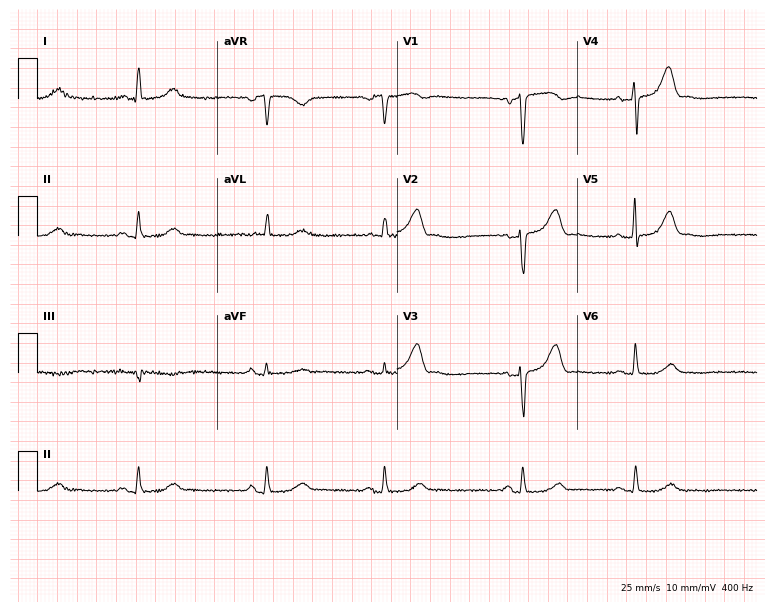
ECG (7.3-second recording at 400 Hz) — an 81-year-old female. Screened for six findings — first-degree AV block, right bundle branch block (RBBB), left bundle branch block (LBBB), sinus bradycardia, atrial fibrillation (AF), sinus tachycardia — none is recorded. Findings outside these six are not listed.